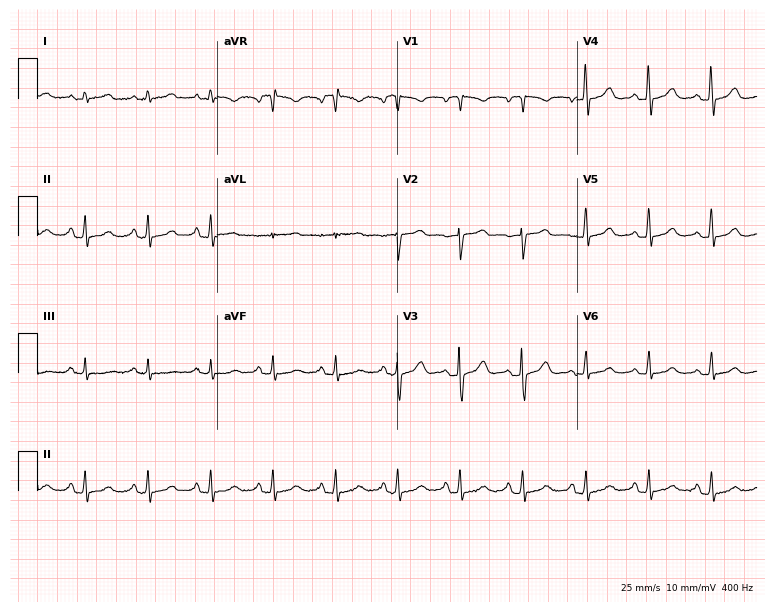
ECG (7.3-second recording at 400 Hz) — a female patient, 69 years old. Labelled as a normal ECG.